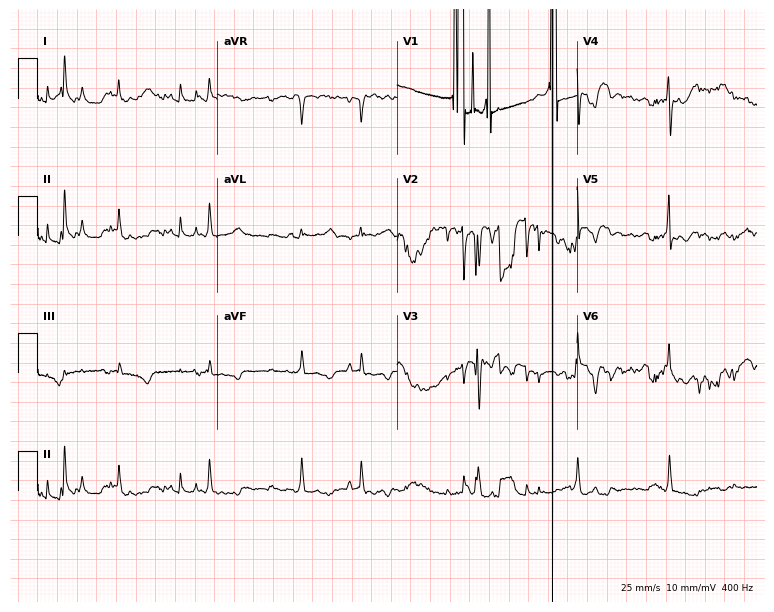
Electrocardiogram (7.3-second recording at 400 Hz), a 72-year-old man. Of the six screened findings (first-degree AV block, right bundle branch block (RBBB), left bundle branch block (LBBB), sinus bradycardia, atrial fibrillation (AF), sinus tachycardia), none is recorded. Other findings, if any, are not listed.